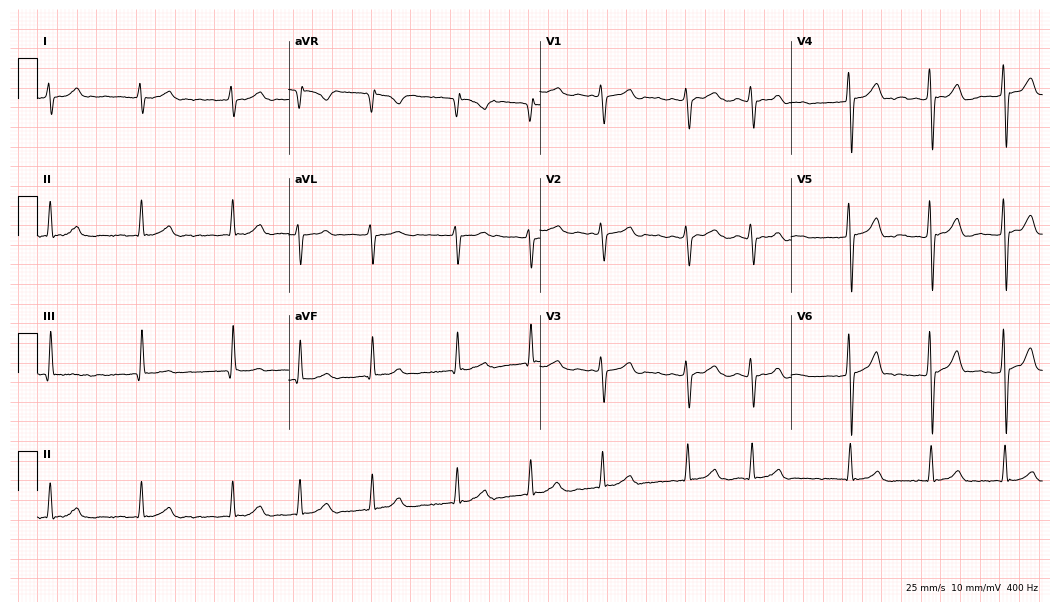
ECG (10.2-second recording at 400 Hz) — a male patient, 52 years old. Findings include atrial fibrillation.